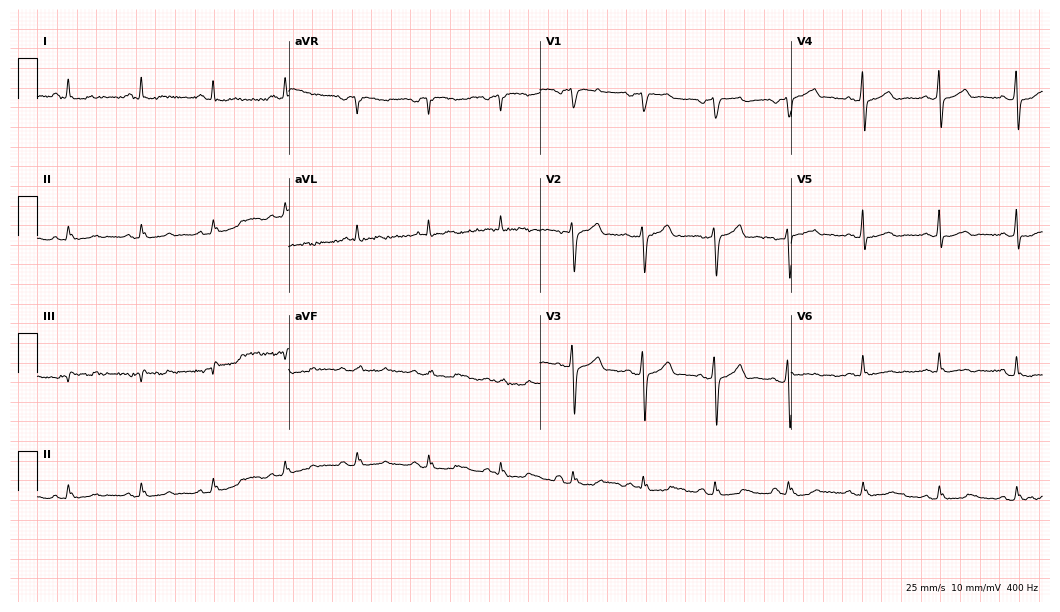
Standard 12-lead ECG recorded from a 50-year-old man (10.2-second recording at 400 Hz). None of these six findings is recorded: first-degree AV block, right bundle branch block, left bundle branch block, sinus bradycardia, atrial fibrillation, sinus tachycardia. Only these six findings were labelled.